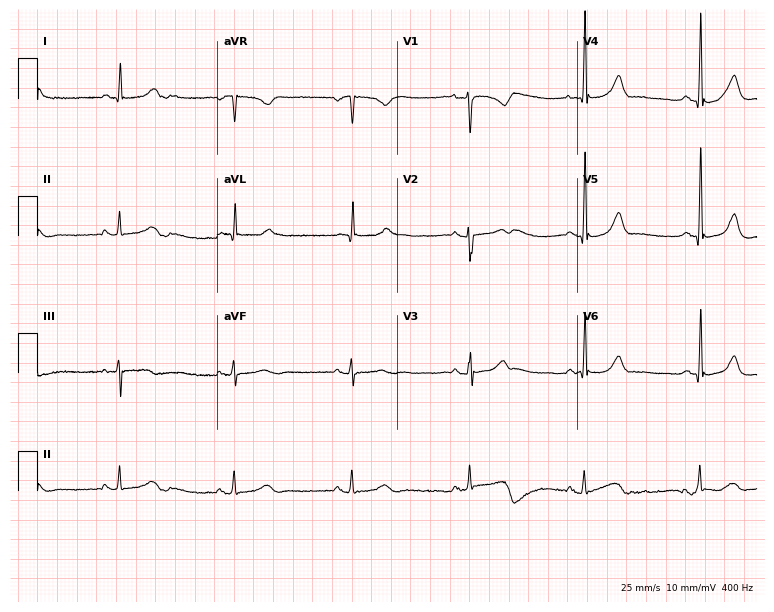
12-lead ECG from a female patient, 47 years old. Screened for six findings — first-degree AV block, right bundle branch block (RBBB), left bundle branch block (LBBB), sinus bradycardia, atrial fibrillation (AF), sinus tachycardia — none is recorded. Findings outside these six are not listed.